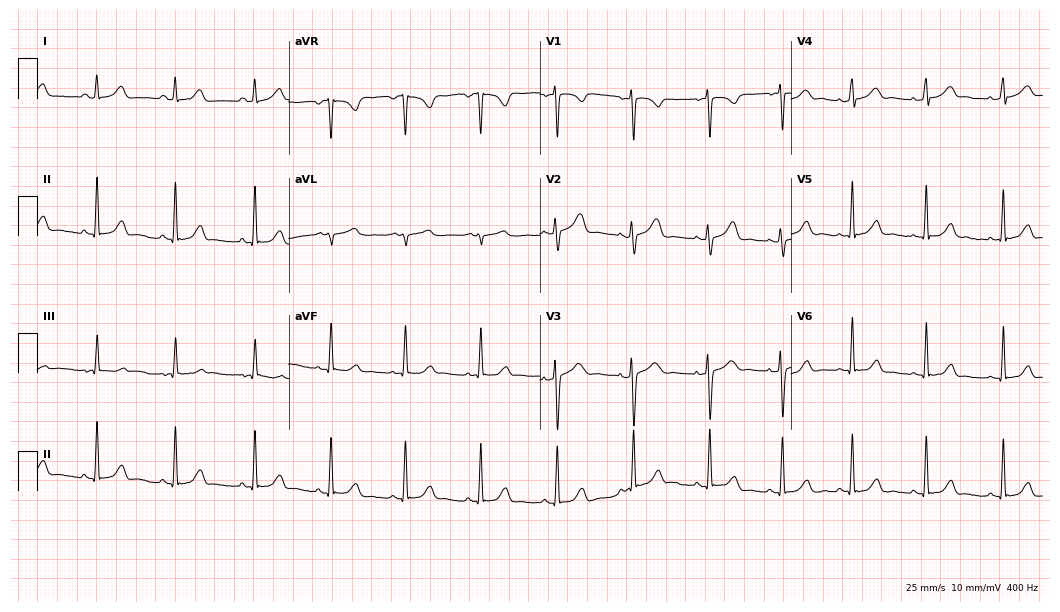
12-lead ECG from a female, 25 years old. Labelled as a normal ECG.